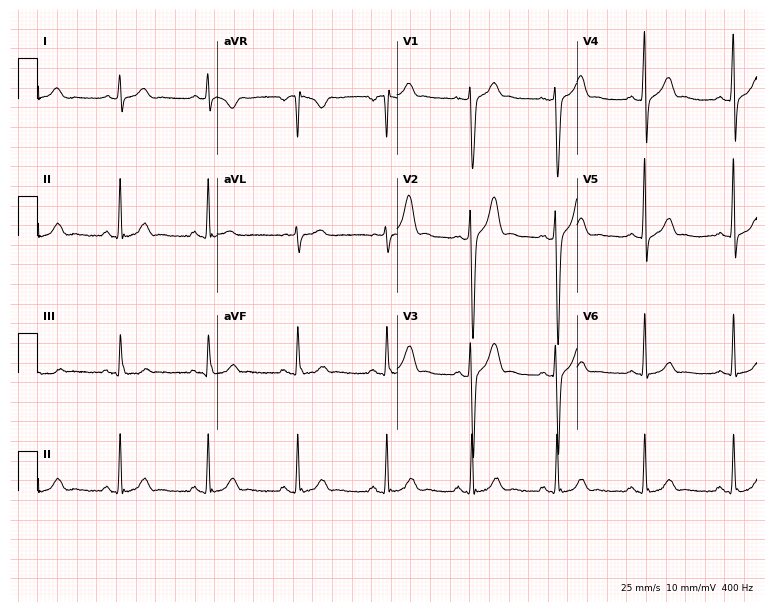
Resting 12-lead electrocardiogram. Patient: a male, 24 years old. Read as a normal ECG.